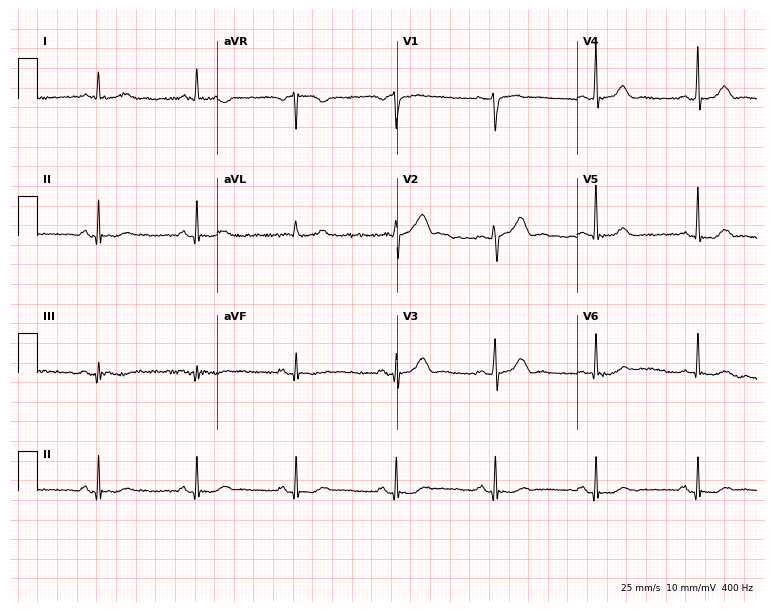
Standard 12-lead ECG recorded from a 77-year-old man (7.3-second recording at 400 Hz). None of these six findings is recorded: first-degree AV block, right bundle branch block, left bundle branch block, sinus bradycardia, atrial fibrillation, sinus tachycardia.